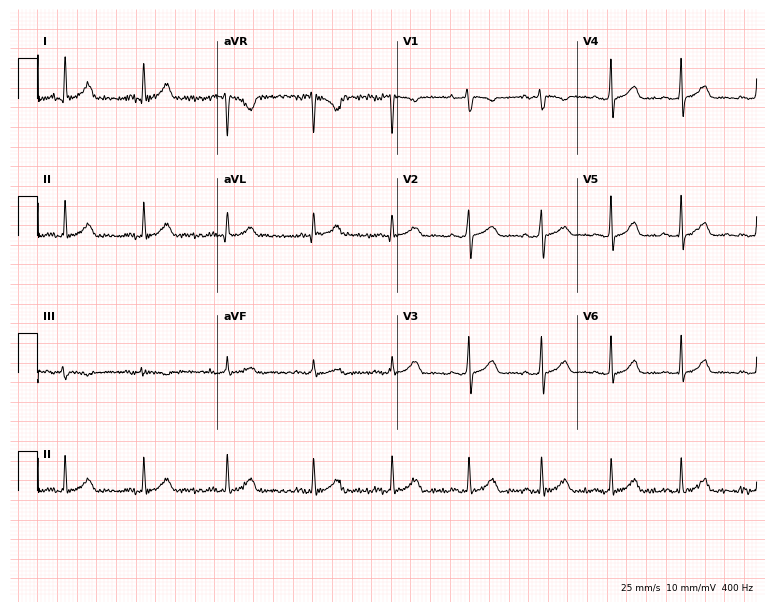
Electrocardiogram (7.3-second recording at 400 Hz), a 40-year-old woman. Overall reading on record: normal ECG.